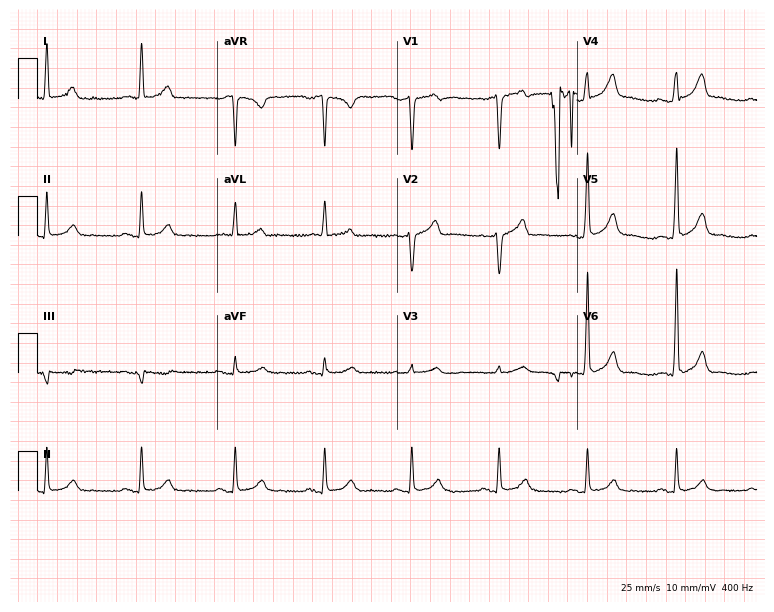
12-lead ECG (7.3-second recording at 400 Hz) from a man, 47 years old. Screened for six findings — first-degree AV block, right bundle branch block, left bundle branch block, sinus bradycardia, atrial fibrillation, sinus tachycardia — none is recorded.